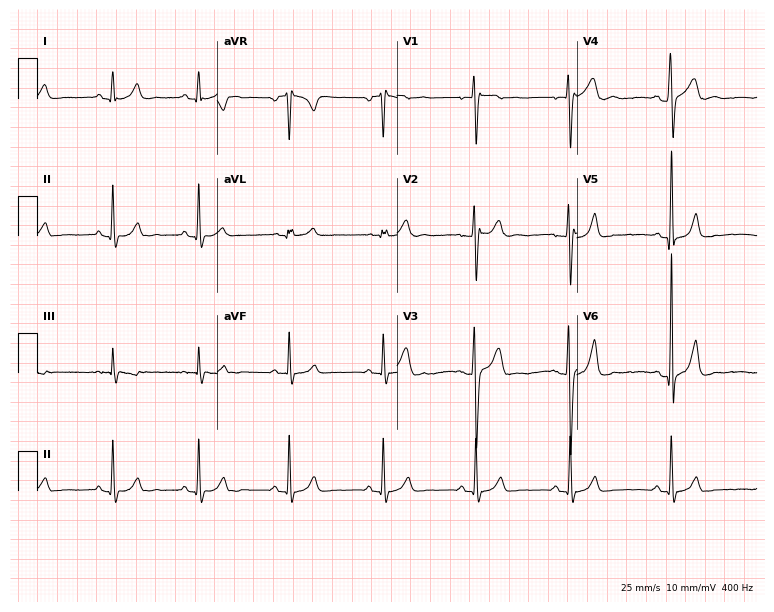
Resting 12-lead electrocardiogram. Patient: a male, 22 years old. Read as a normal ECG.